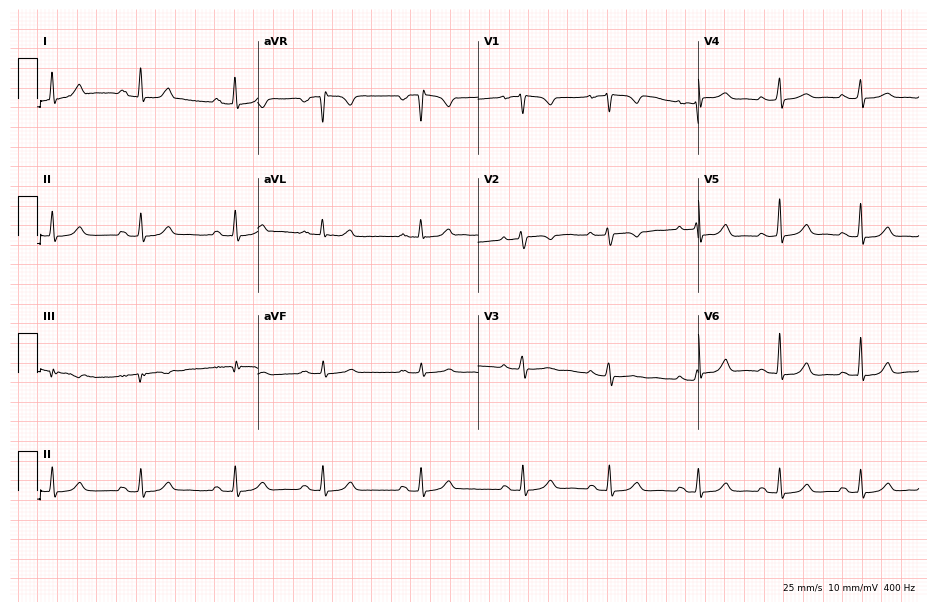
ECG (9-second recording at 400 Hz) — a 28-year-old woman. Screened for six findings — first-degree AV block, right bundle branch block (RBBB), left bundle branch block (LBBB), sinus bradycardia, atrial fibrillation (AF), sinus tachycardia — none is recorded.